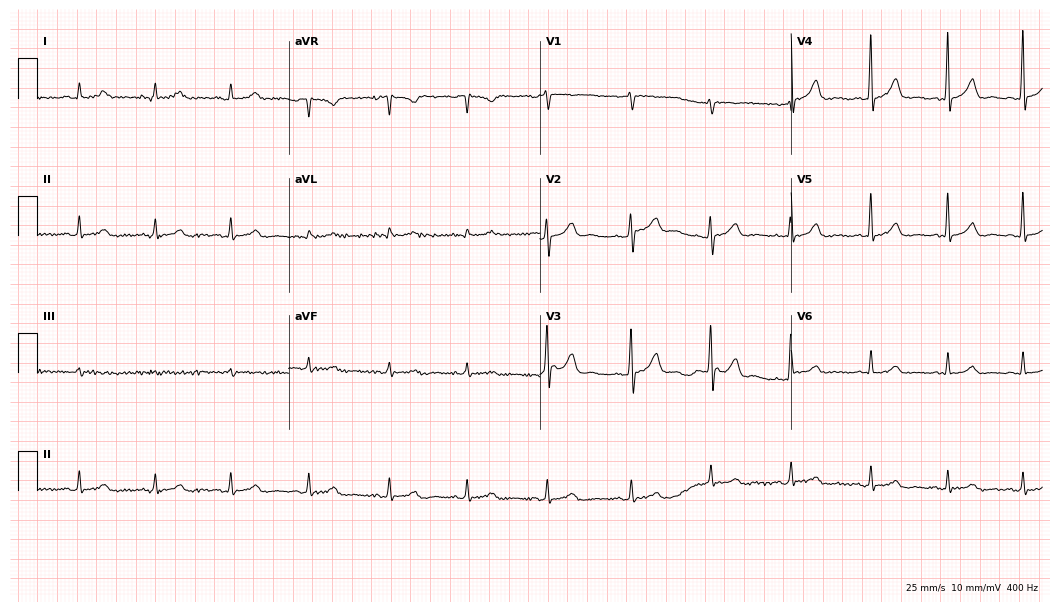
Standard 12-lead ECG recorded from a female, 36 years old. Read as a normal ECG.